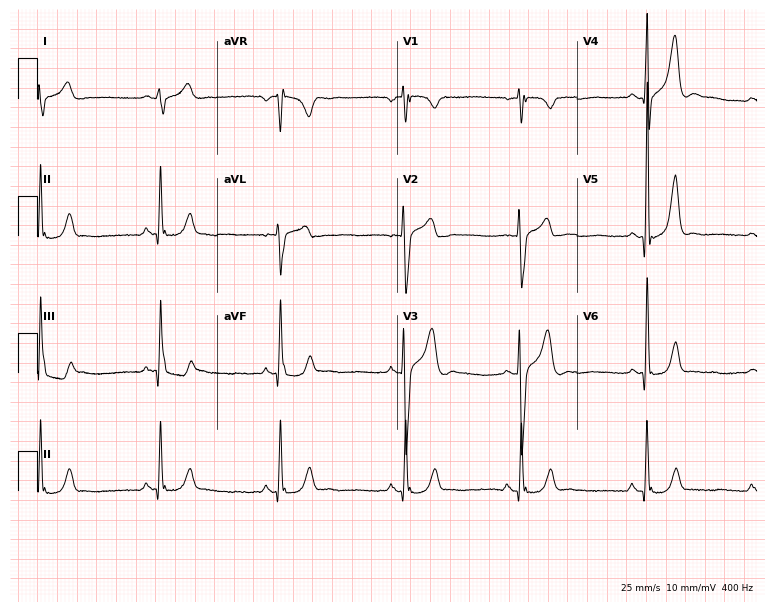
12-lead ECG from a man, 35 years old. Screened for six findings — first-degree AV block, right bundle branch block, left bundle branch block, sinus bradycardia, atrial fibrillation, sinus tachycardia — none is recorded.